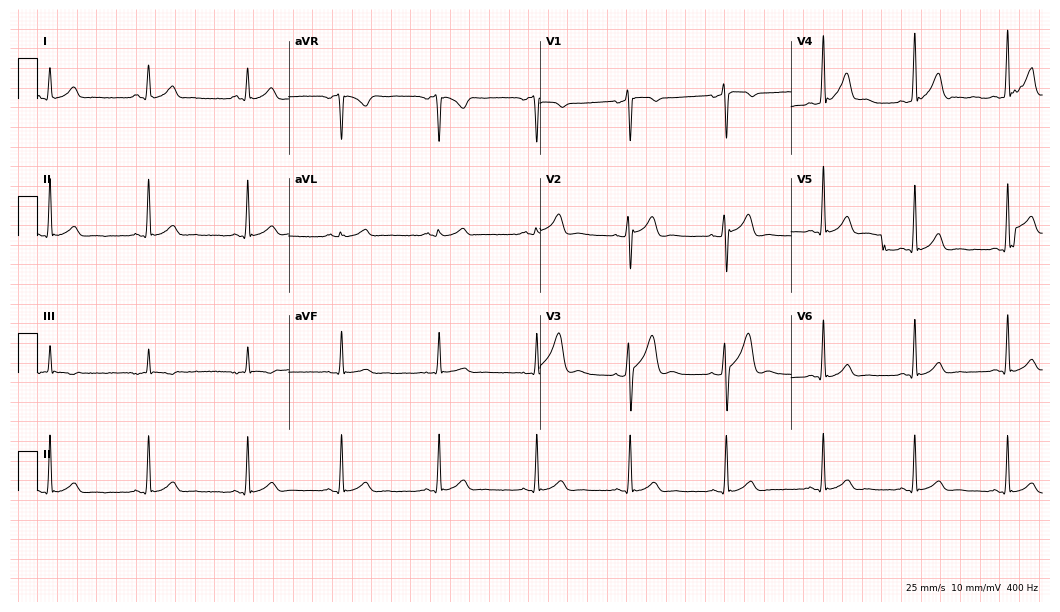
Resting 12-lead electrocardiogram. Patient: a 29-year-old male. None of these six findings is recorded: first-degree AV block, right bundle branch block, left bundle branch block, sinus bradycardia, atrial fibrillation, sinus tachycardia. Other findings, if any, are not listed.